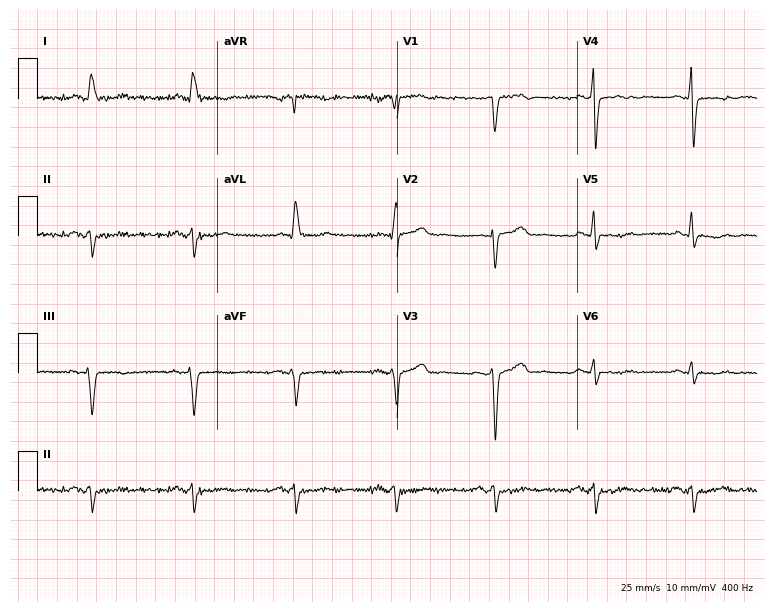
12-lead ECG from a 62-year-old female. Screened for six findings — first-degree AV block, right bundle branch block (RBBB), left bundle branch block (LBBB), sinus bradycardia, atrial fibrillation (AF), sinus tachycardia — none is recorded. Findings outside these six are not listed.